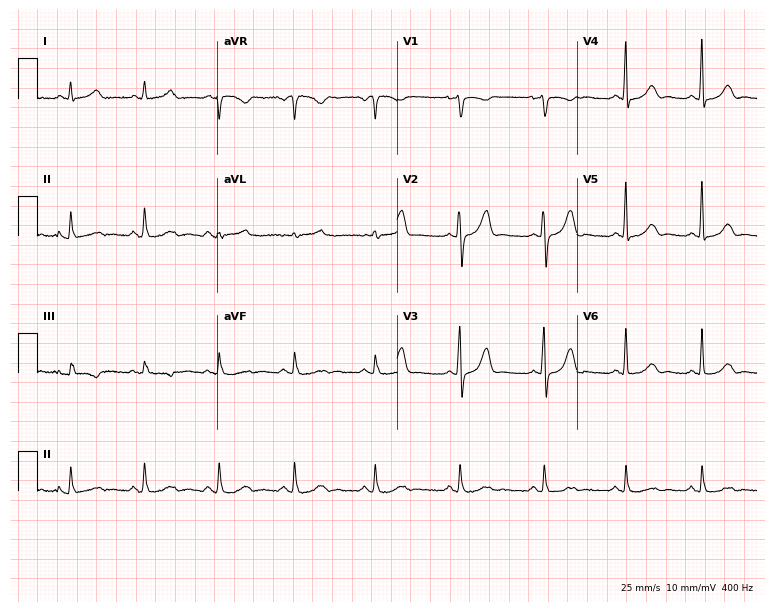
Standard 12-lead ECG recorded from a woman, 42 years old (7.3-second recording at 400 Hz). None of these six findings is recorded: first-degree AV block, right bundle branch block, left bundle branch block, sinus bradycardia, atrial fibrillation, sinus tachycardia. Only these six findings were labelled.